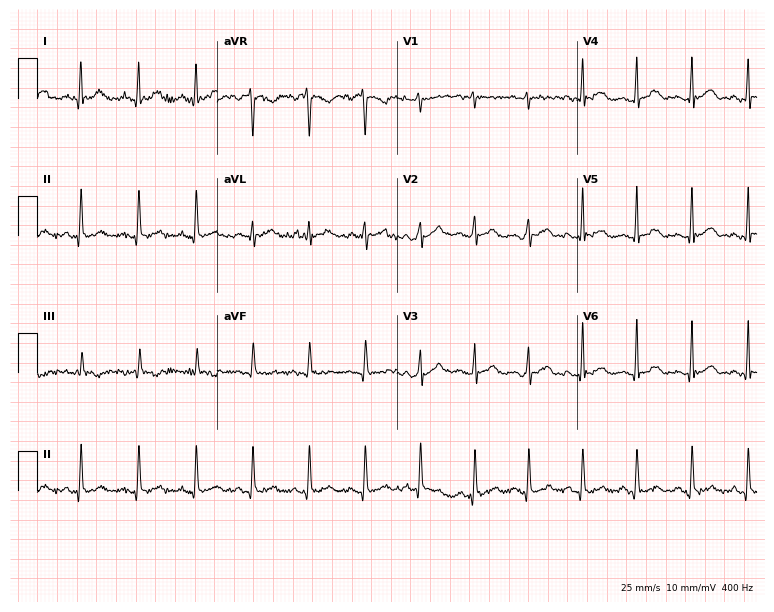
ECG — a man, 17 years old. Screened for six findings — first-degree AV block, right bundle branch block (RBBB), left bundle branch block (LBBB), sinus bradycardia, atrial fibrillation (AF), sinus tachycardia — none is recorded.